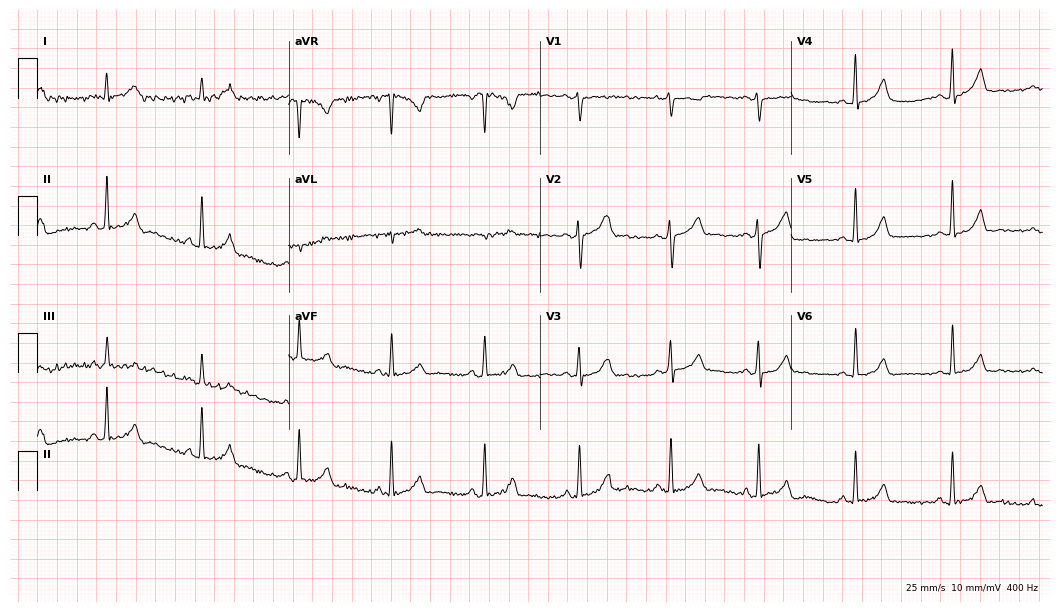
12-lead ECG from a female patient, 32 years old (10.2-second recording at 400 Hz). Recorded interpretation: within normal limits.